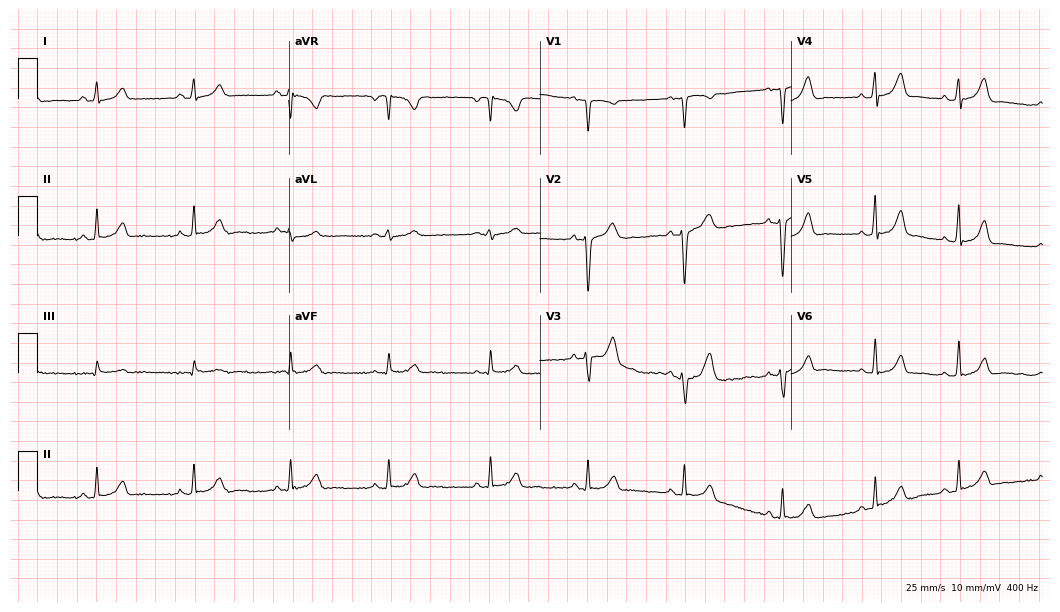
12-lead ECG (10.2-second recording at 400 Hz) from a female, 23 years old. Screened for six findings — first-degree AV block, right bundle branch block, left bundle branch block, sinus bradycardia, atrial fibrillation, sinus tachycardia — none is recorded.